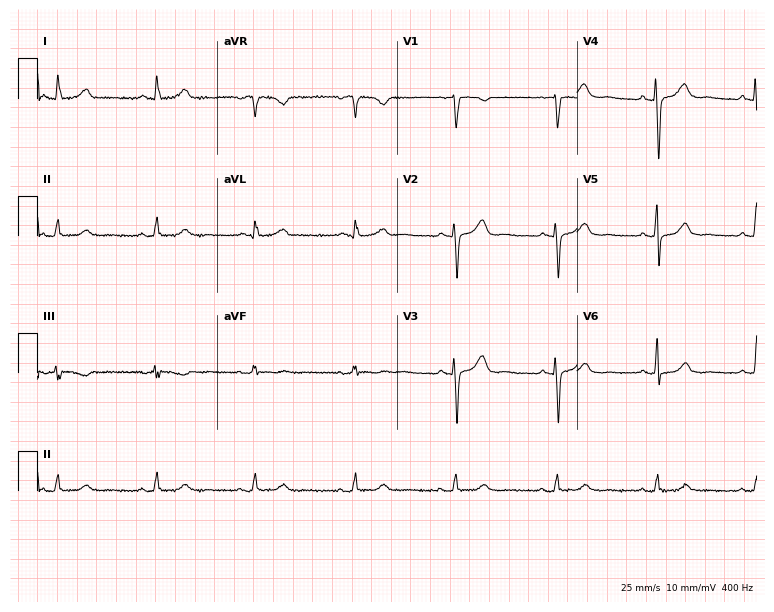
12-lead ECG from a female patient, 53 years old. No first-degree AV block, right bundle branch block, left bundle branch block, sinus bradycardia, atrial fibrillation or sinus tachycardia recorded for this tracing.